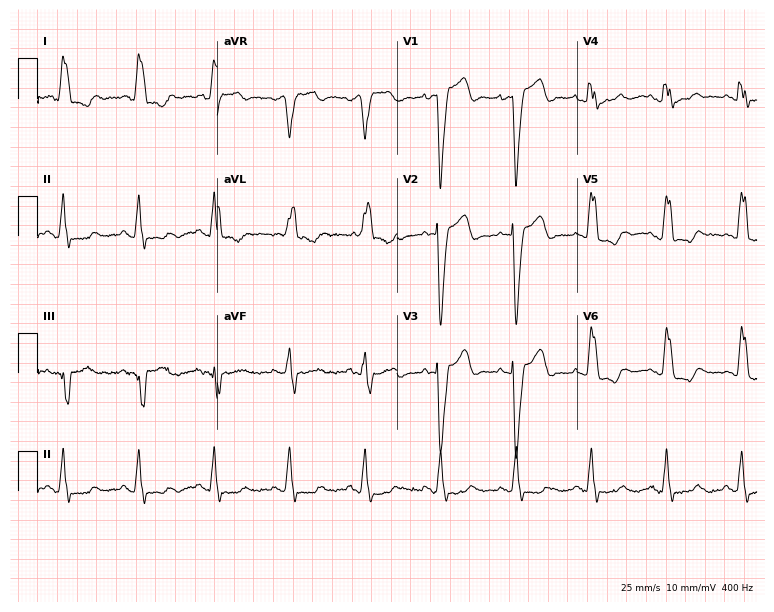
ECG (7.3-second recording at 400 Hz) — a male patient, 83 years old. Screened for six findings — first-degree AV block, right bundle branch block (RBBB), left bundle branch block (LBBB), sinus bradycardia, atrial fibrillation (AF), sinus tachycardia — none is recorded. Only these six findings were labelled.